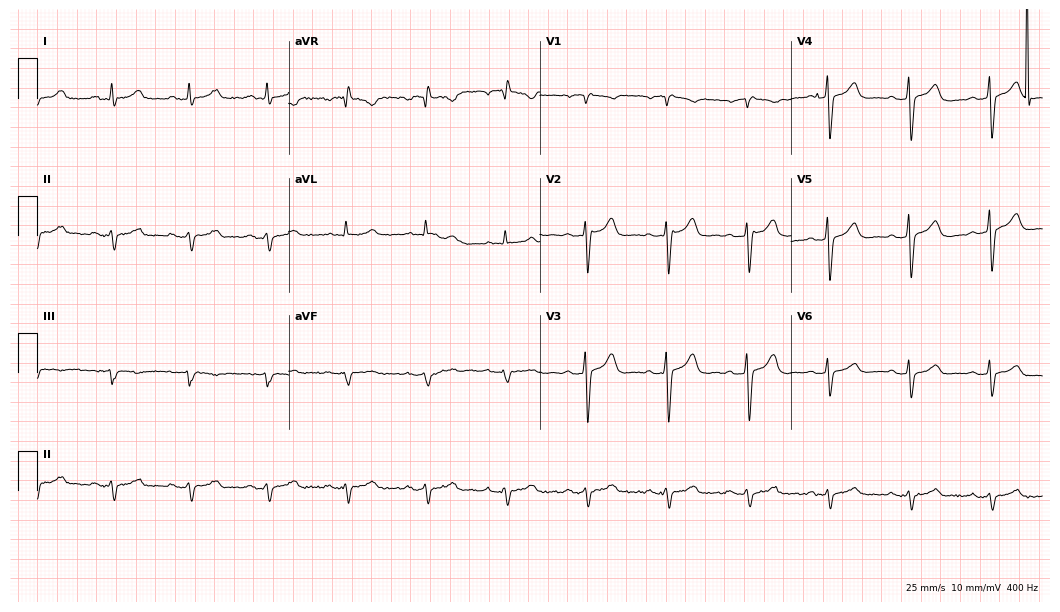
ECG — a 48-year-old male patient. Screened for six findings — first-degree AV block, right bundle branch block, left bundle branch block, sinus bradycardia, atrial fibrillation, sinus tachycardia — none is recorded. Findings outside these six are not listed.